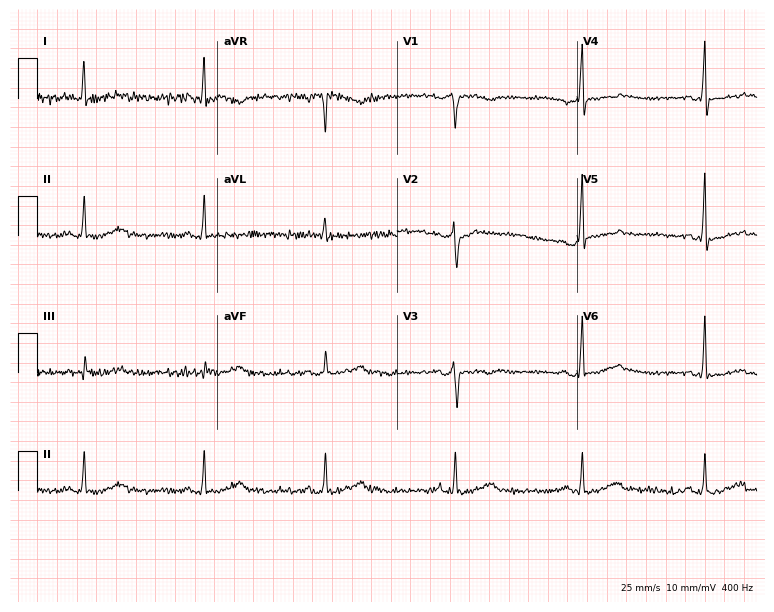
Electrocardiogram, a 49-year-old male patient. Interpretation includes sinus bradycardia (a sinus rate of 50 beats per minute or less).